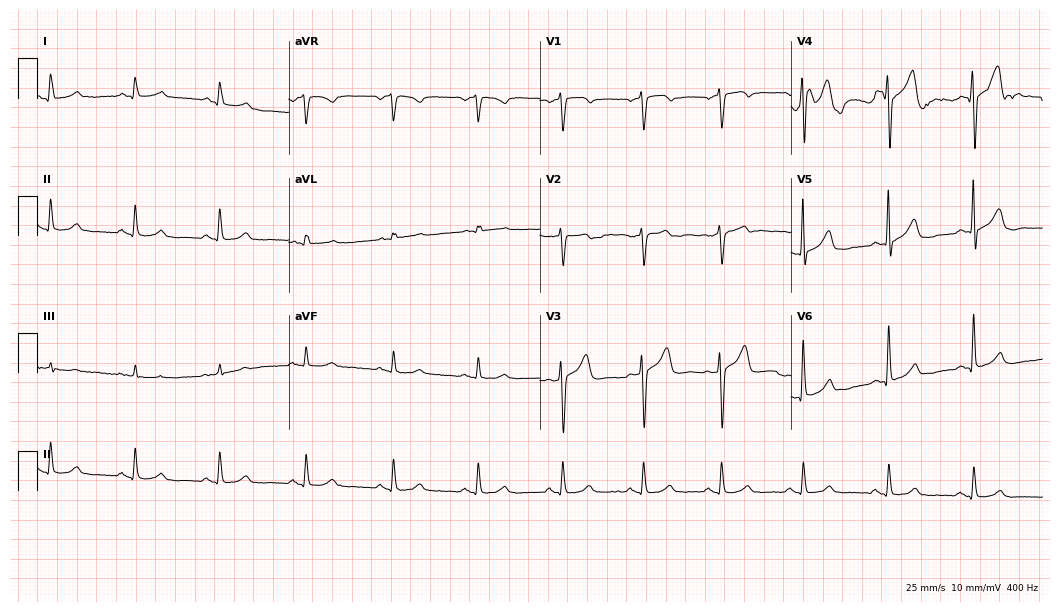
Resting 12-lead electrocardiogram. Patient: a male, 48 years old. Read as a normal ECG.